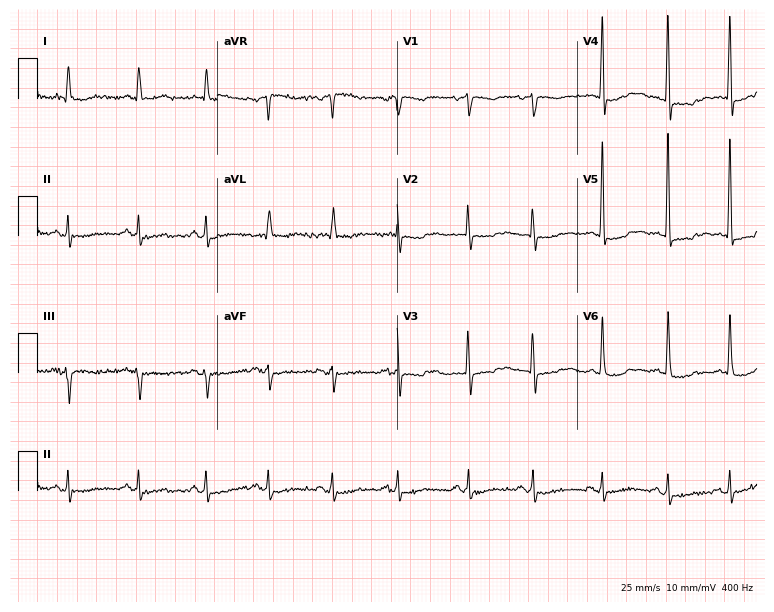
12-lead ECG from an 80-year-old female. Screened for six findings — first-degree AV block, right bundle branch block, left bundle branch block, sinus bradycardia, atrial fibrillation, sinus tachycardia — none is recorded. Only these six findings were labelled.